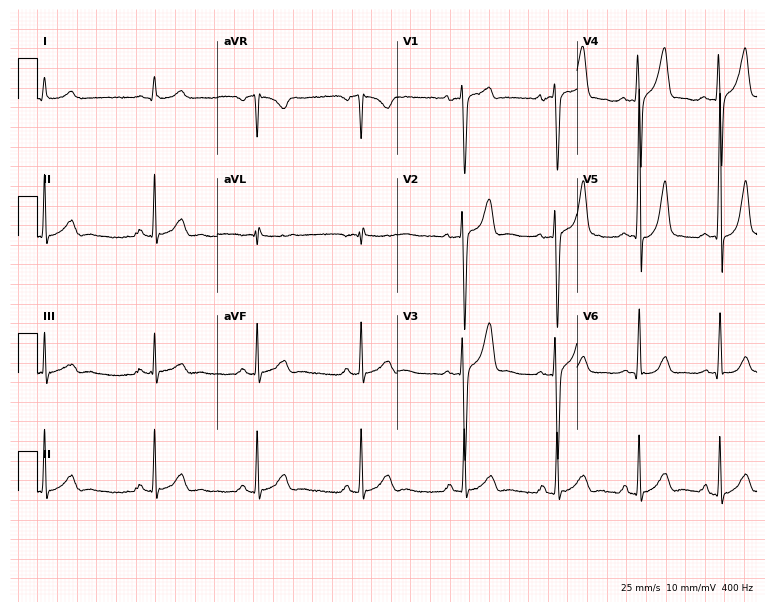
12-lead ECG from a 28-year-old male. Recorded interpretation: within normal limits.